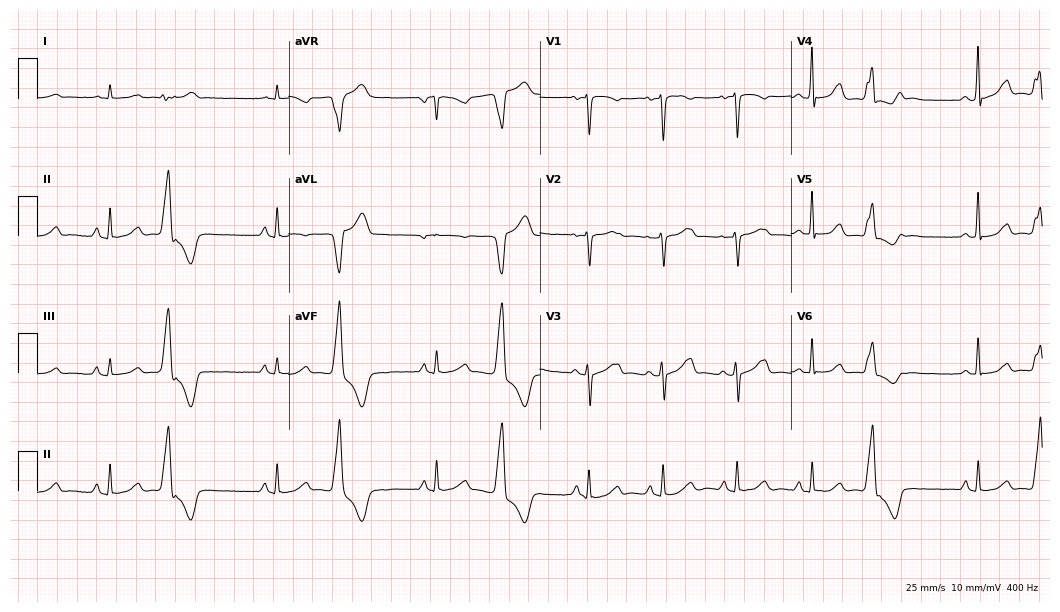
12-lead ECG from a 52-year-old female patient. Screened for six findings — first-degree AV block, right bundle branch block, left bundle branch block, sinus bradycardia, atrial fibrillation, sinus tachycardia — none is recorded. Only these six findings were labelled.